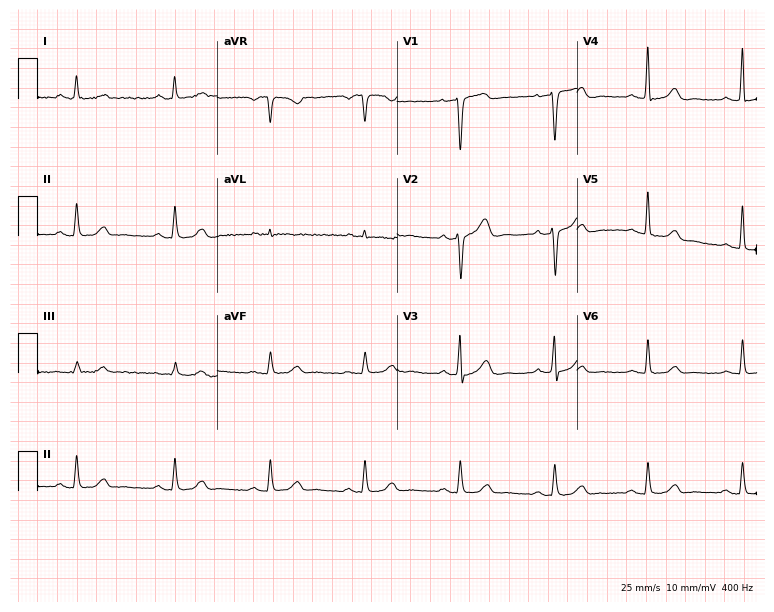
Resting 12-lead electrocardiogram. Patient: a 51-year-old female. None of these six findings is recorded: first-degree AV block, right bundle branch block, left bundle branch block, sinus bradycardia, atrial fibrillation, sinus tachycardia.